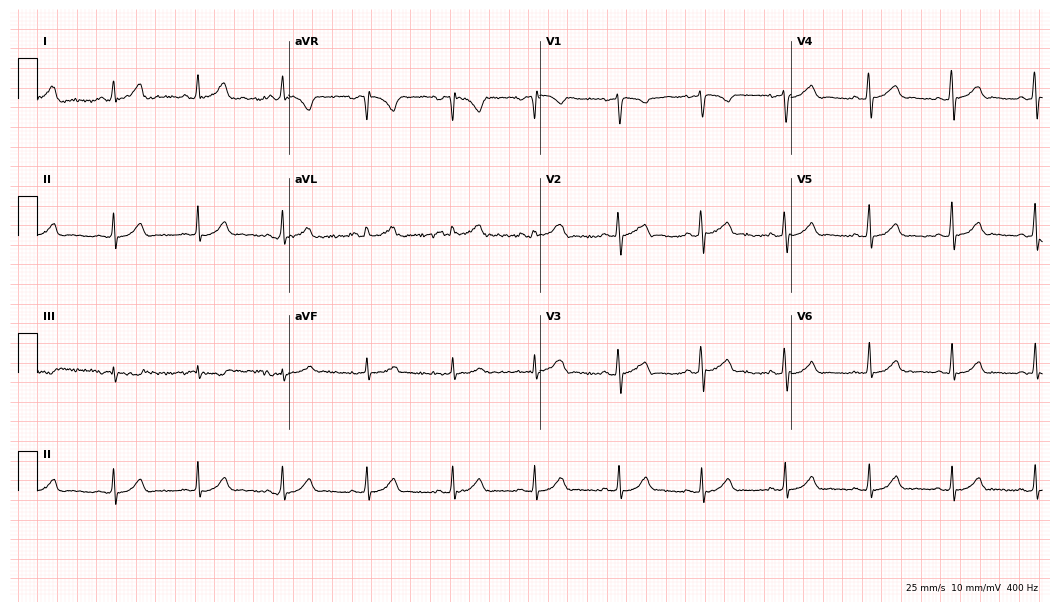
ECG (10.2-second recording at 400 Hz) — a 23-year-old female. Labelled as a normal ECG.